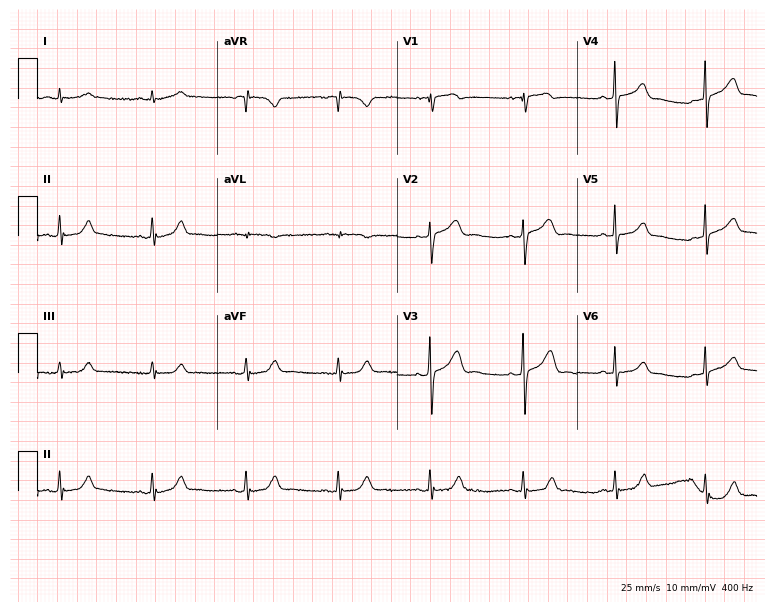
Standard 12-lead ECG recorded from a man, 75 years old (7.3-second recording at 400 Hz). Read as a normal ECG.